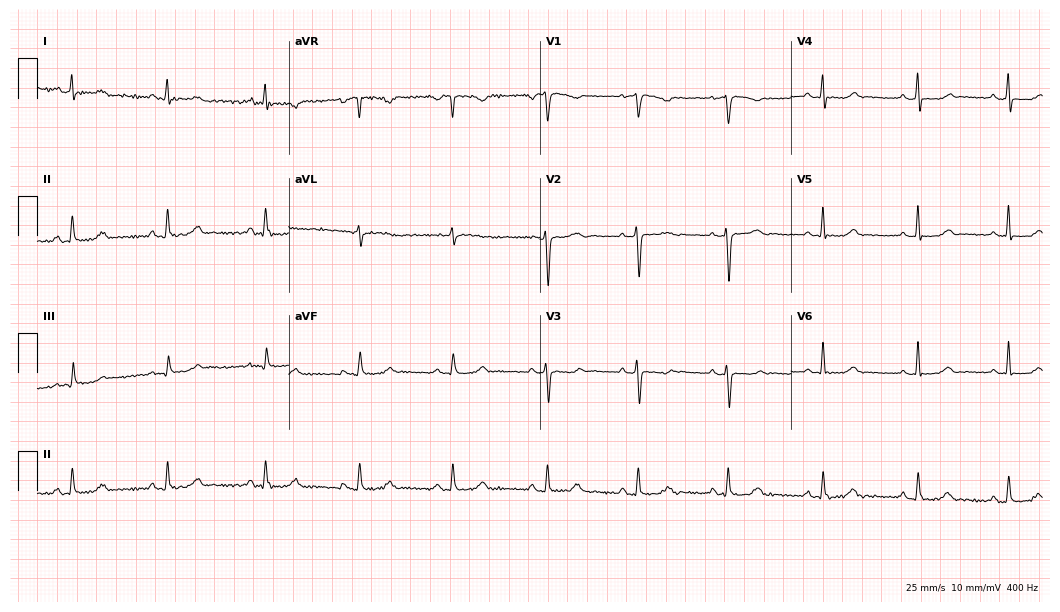
12-lead ECG from a woman, 49 years old. Recorded interpretation: within normal limits.